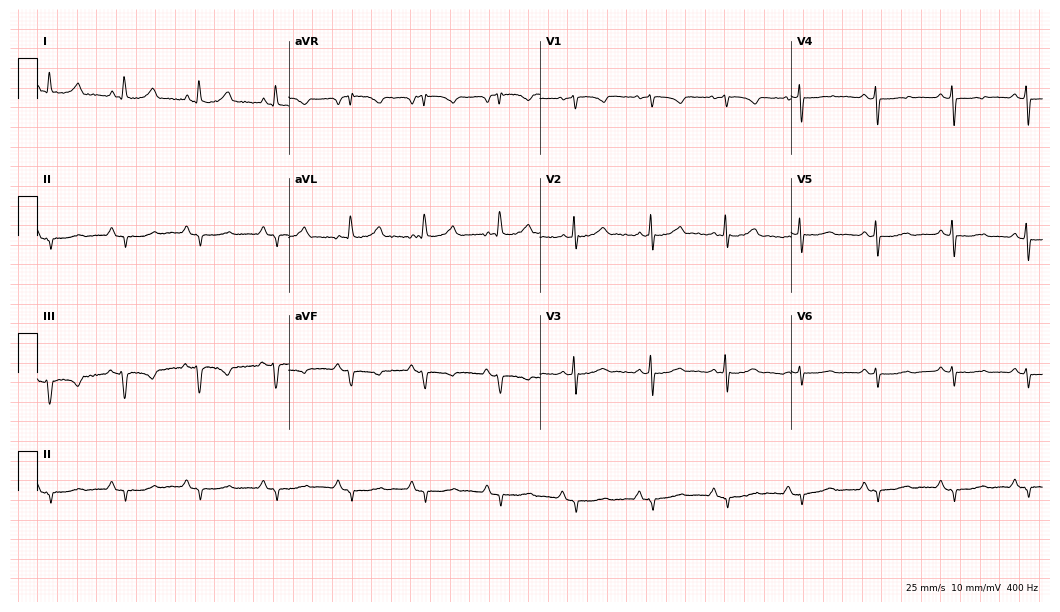
ECG (10.2-second recording at 400 Hz) — a 70-year-old woman. Screened for six findings — first-degree AV block, right bundle branch block (RBBB), left bundle branch block (LBBB), sinus bradycardia, atrial fibrillation (AF), sinus tachycardia — none is recorded.